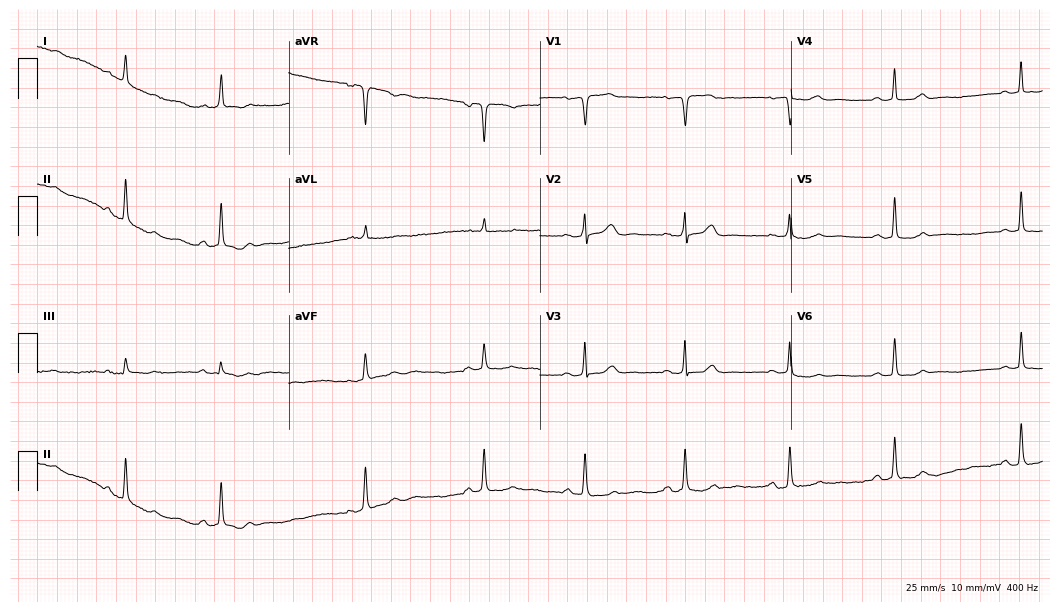
Resting 12-lead electrocardiogram. Patient: a woman, 85 years old. None of these six findings is recorded: first-degree AV block, right bundle branch block, left bundle branch block, sinus bradycardia, atrial fibrillation, sinus tachycardia.